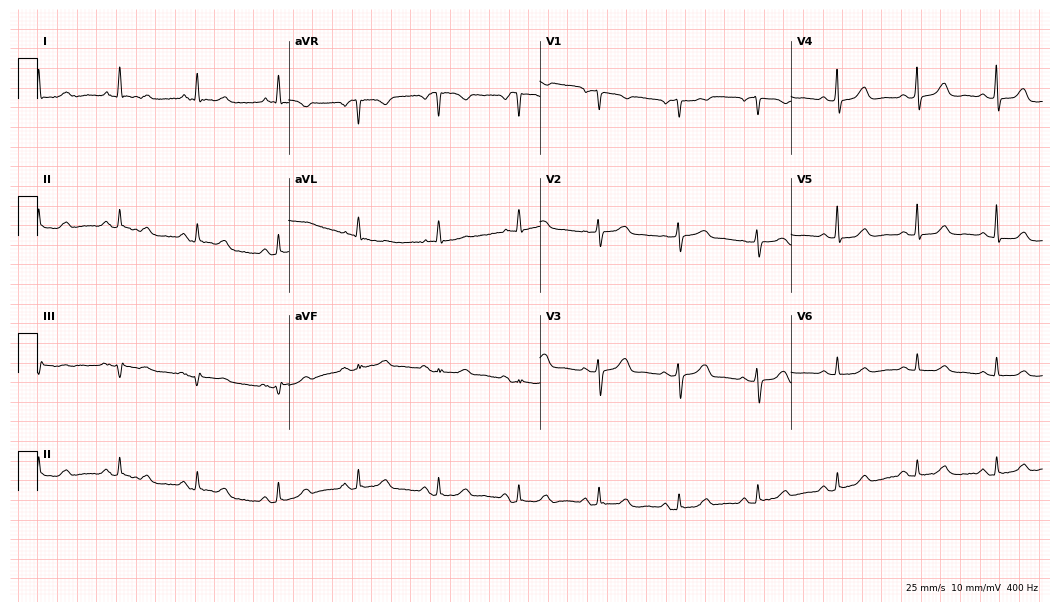
12-lead ECG (10.2-second recording at 400 Hz) from a 64-year-old female. Labelled as a normal ECG.